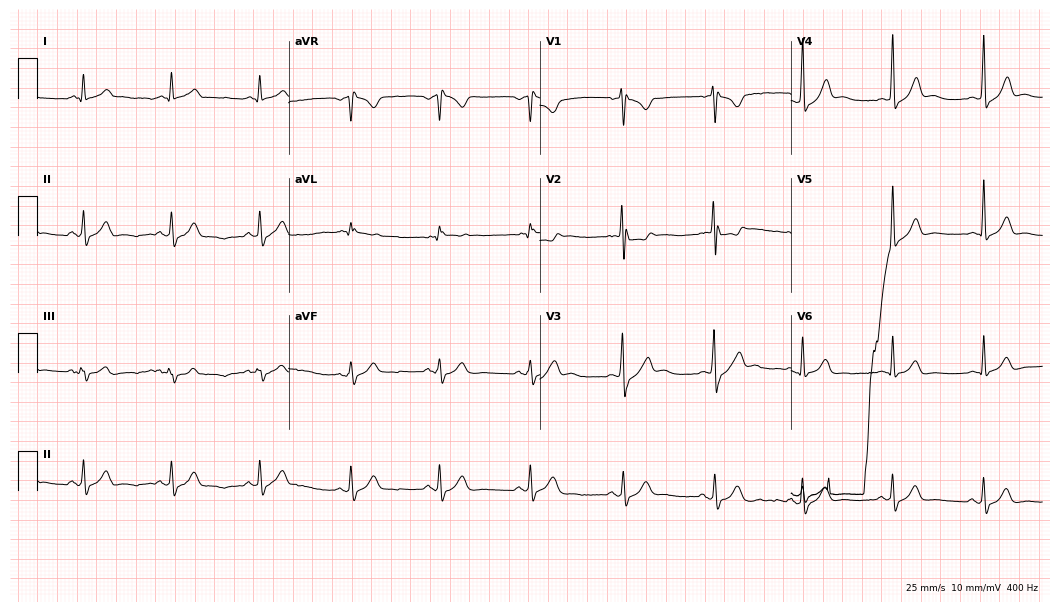
Electrocardiogram, a man, 34 years old. Of the six screened findings (first-degree AV block, right bundle branch block (RBBB), left bundle branch block (LBBB), sinus bradycardia, atrial fibrillation (AF), sinus tachycardia), none is recorded. Only these six findings were labelled.